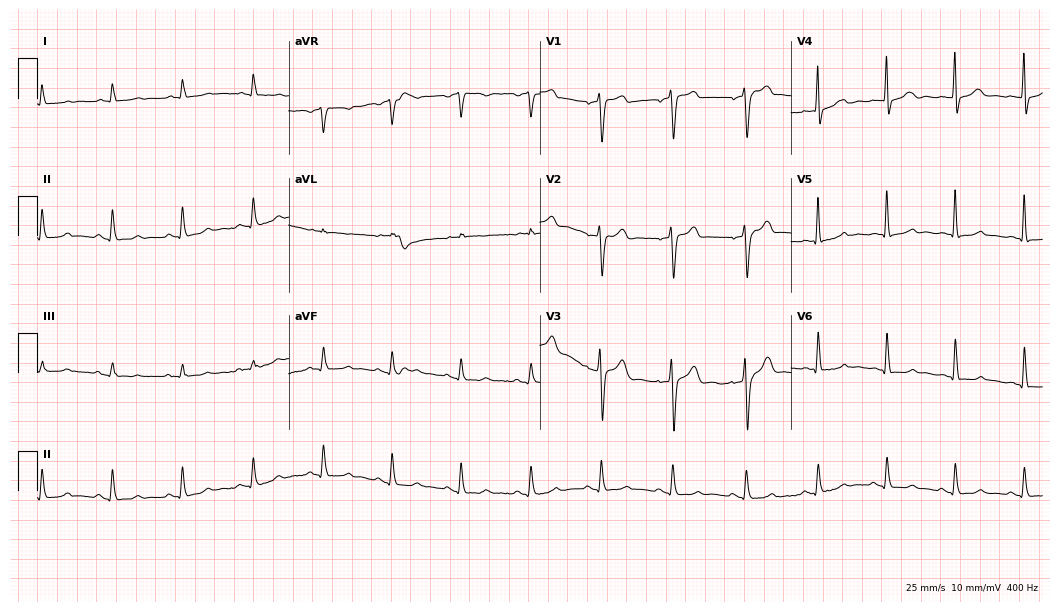
Electrocardiogram, a 66-year-old male patient. Of the six screened findings (first-degree AV block, right bundle branch block, left bundle branch block, sinus bradycardia, atrial fibrillation, sinus tachycardia), none is recorded.